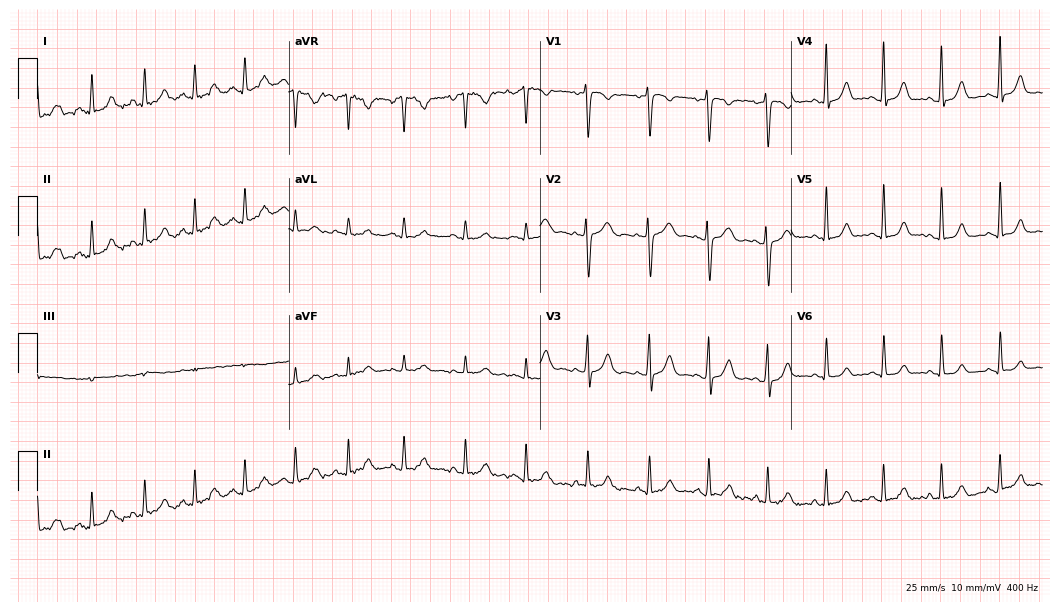
12-lead ECG from a female, 32 years old. Shows sinus tachycardia (a sinus rate of 100 beats per minute or more).